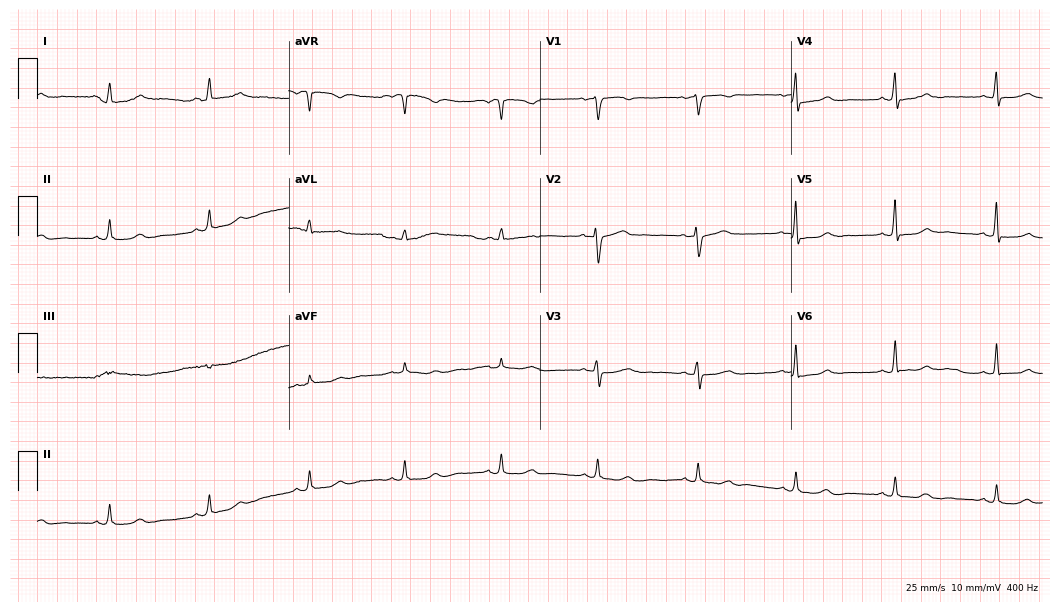
ECG (10.2-second recording at 400 Hz) — a female, 52 years old. Labelled as a normal ECG.